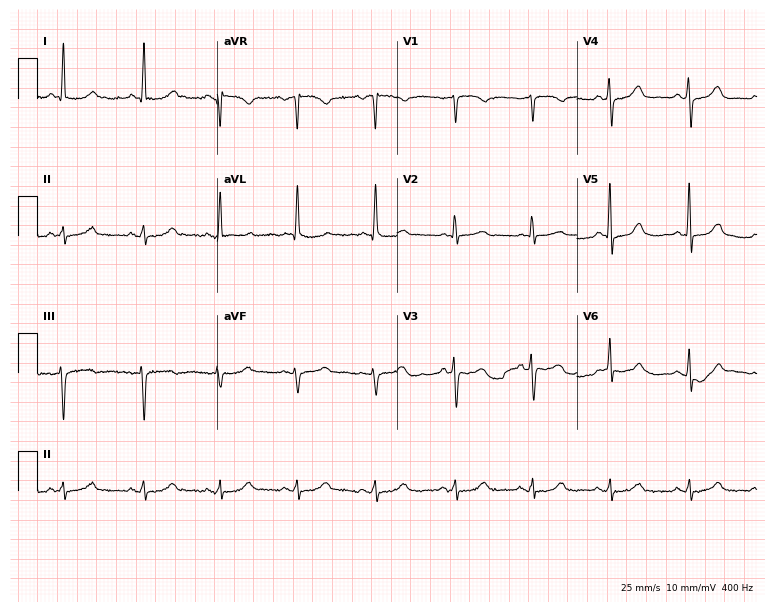
Standard 12-lead ECG recorded from a female, 76 years old (7.3-second recording at 400 Hz). None of these six findings is recorded: first-degree AV block, right bundle branch block (RBBB), left bundle branch block (LBBB), sinus bradycardia, atrial fibrillation (AF), sinus tachycardia.